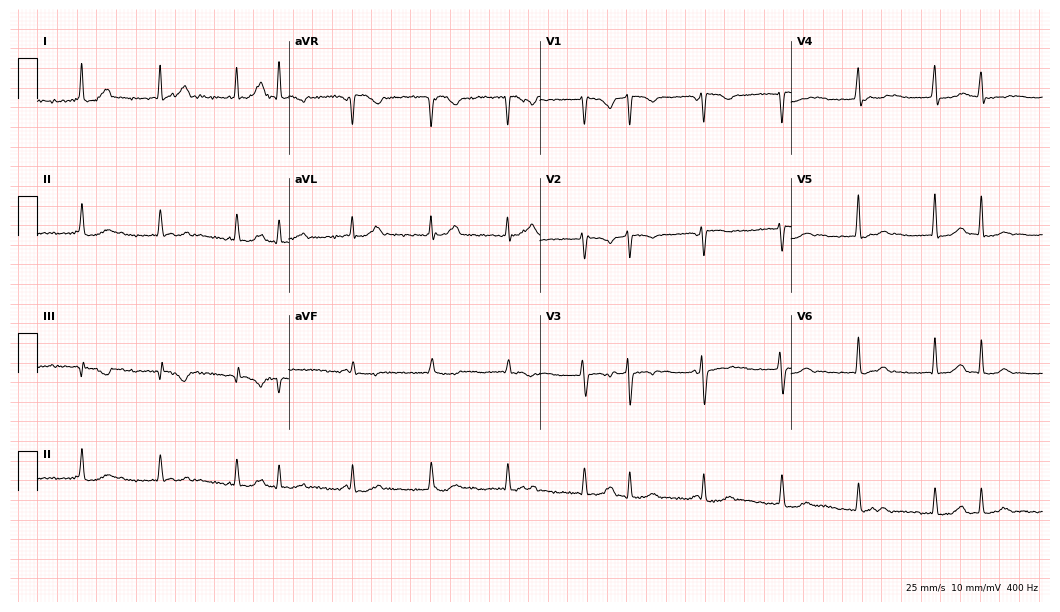
12-lead ECG from a man, 32 years old (10.2-second recording at 400 Hz). No first-degree AV block, right bundle branch block, left bundle branch block, sinus bradycardia, atrial fibrillation or sinus tachycardia recorded for this tracing.